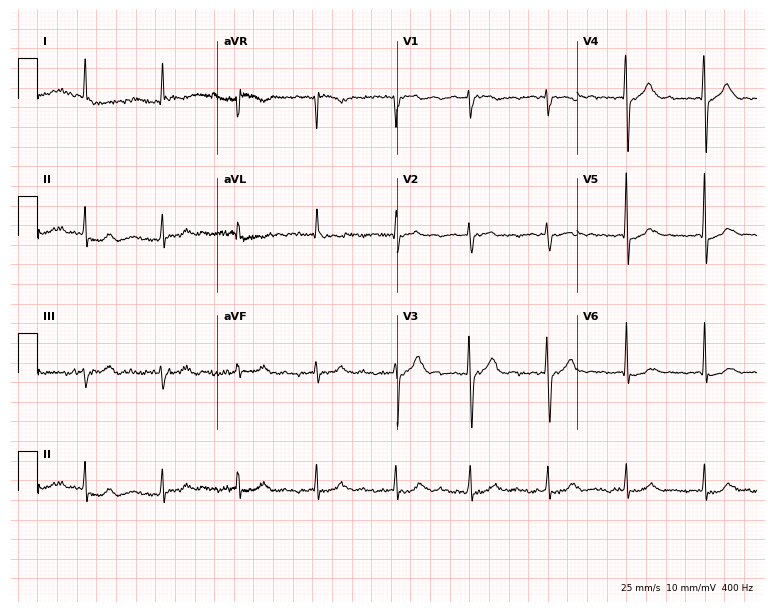
Electrocardiogram (7.3-second recording at 400 Hz), a 68-year-old woman. Overall reading on record: normal ECG.